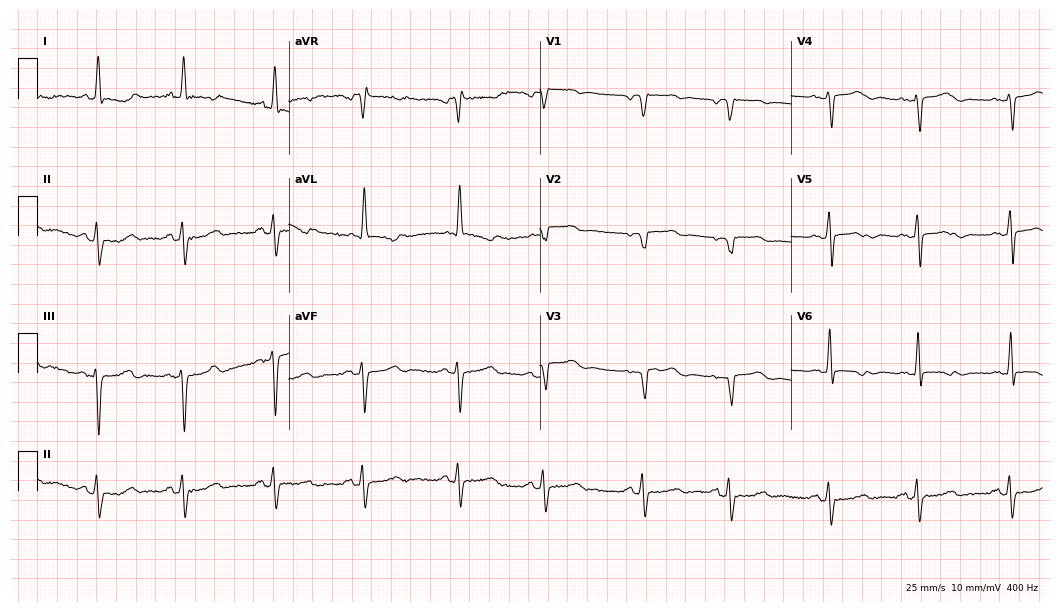
Standard 12-lead ECG recorded from an 80-year-old female (10.2-second recording at 400 Hz). Read as a normal ECG.